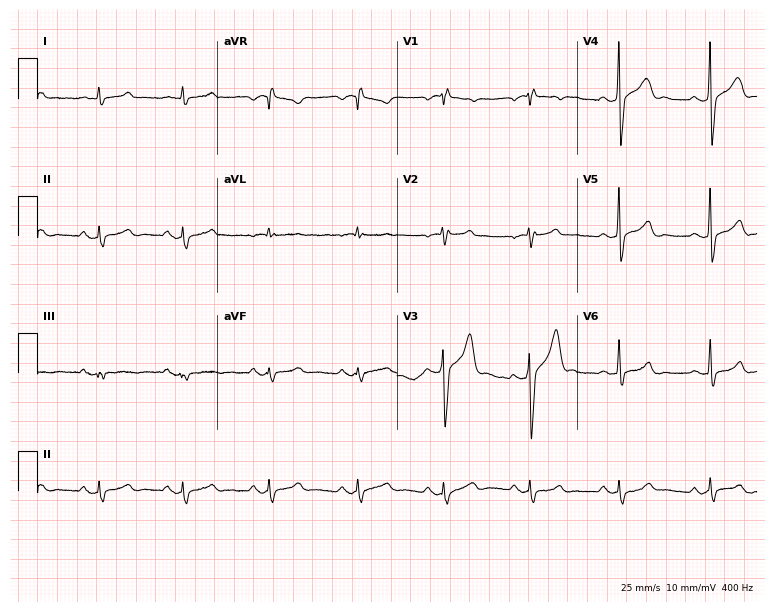
Resting 12-lead electrocardiogram. Patient: a 33-year-old male. None of these six findings is recorded: first-degree AV block, right bundle branch block (RBBB), left bundle branch block (LBBB), sinus bradycardia, atrial fibrillation (AF), sinus tachycardia. Only these six findings were labelled.